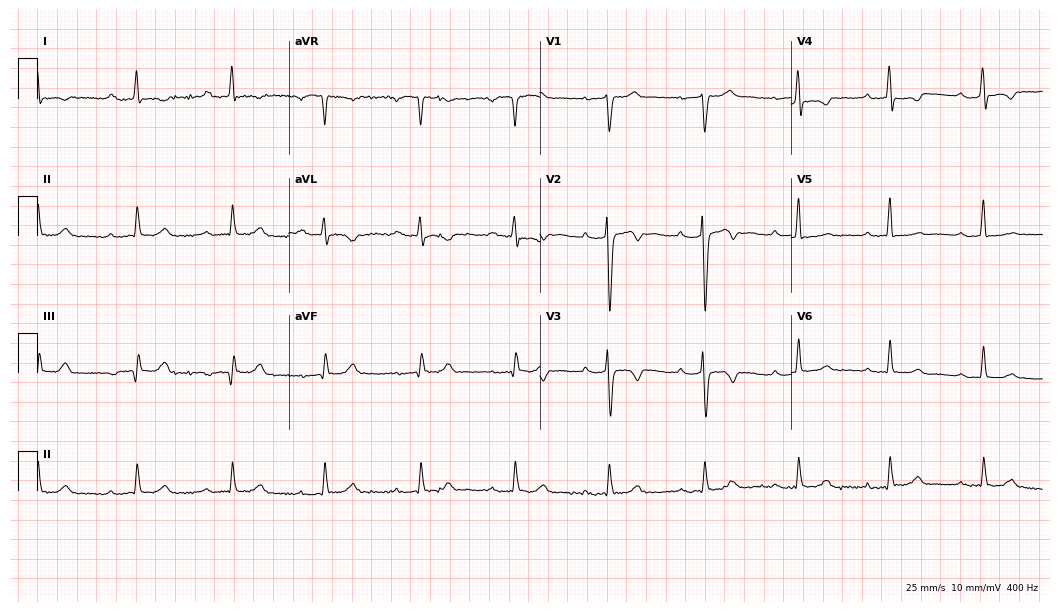
Resting 12-lead electrocardiogram (10.2-second recording at 400 Hz). Patient: a 65-year-old male. The tracing shows first-degree AV block.